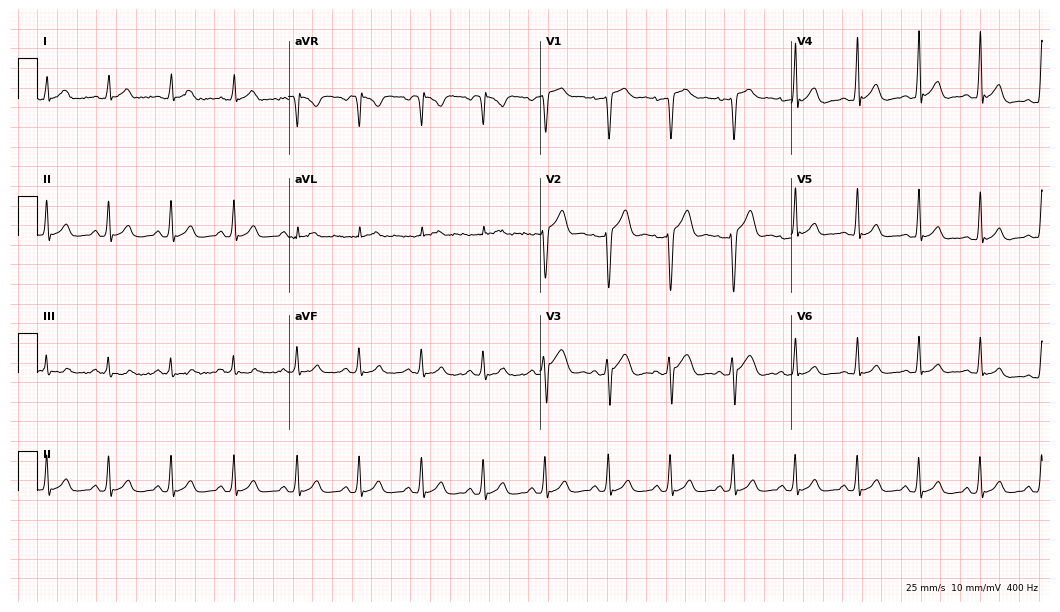
12-lead ECG (10.2-second recording at 400 Hz) from an 18-year-old male. Labelled as a normal ECG.